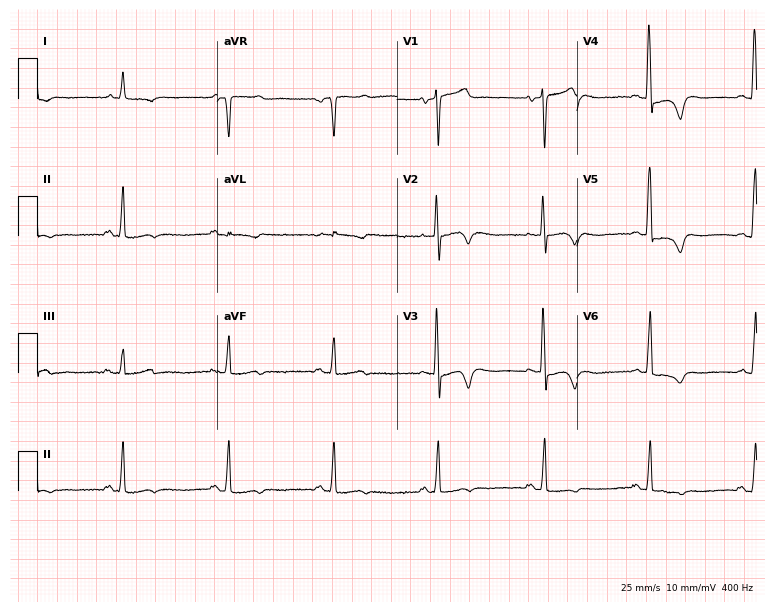
Standard 12-lead ECG recorded from a 77-year-old man (7.3-second recording at 400 Hz). None of these six findings is recorded: first-degree AV block, right bundle branch block, left bundle branch block, sinus bradycardia, atrial fibrillation, sinus tachycardia.